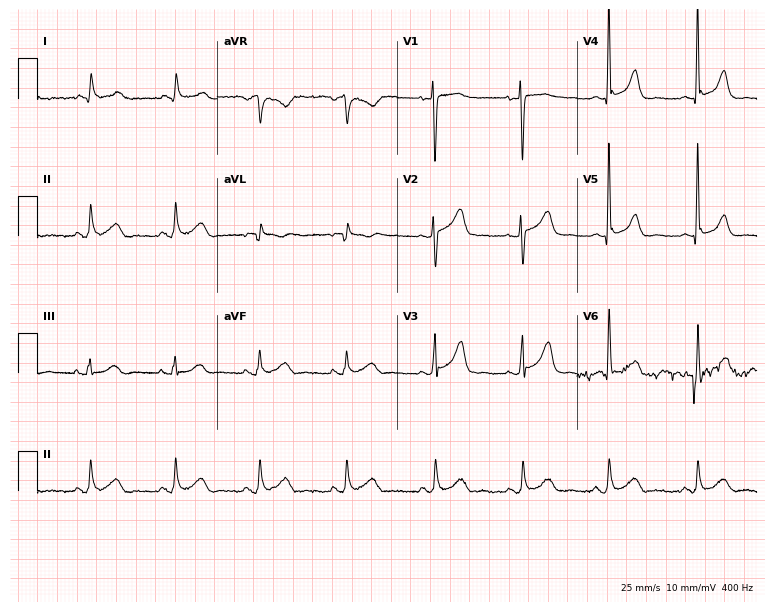
ECG — a 48-year-old female. Screened for six findings — first-degree AV block, right bundle branch block, left bundle branch block, sinus bradycardia, atrial fibrillation, sinus tachycardia — none is recorded. Other findings, if any, are not listed.